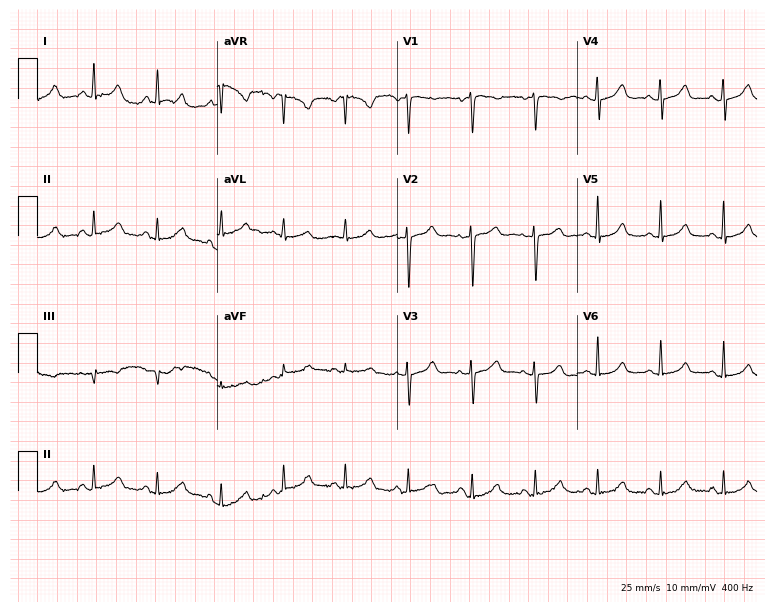
Standard 12-lead ECG recorded from a woman, 42 years old. Read as a normal ECG.